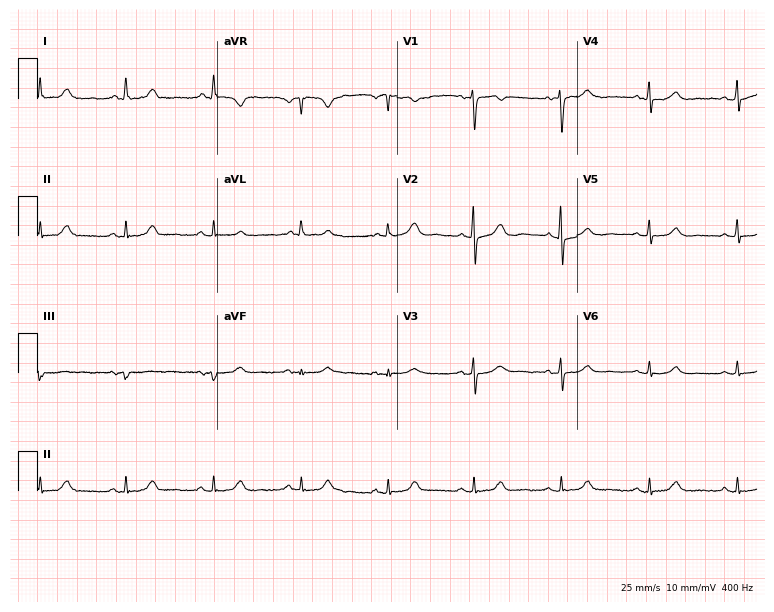
ECG (7.3-second recording at 400 Hz) — a 70-year-old female. Labelled as a normal ECG.